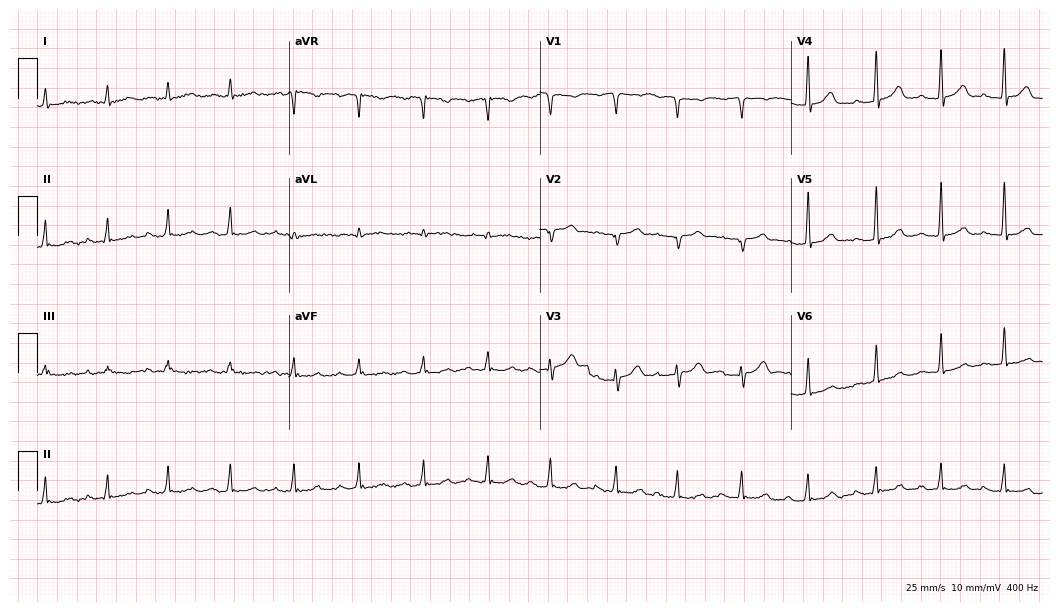
ECG (10.2-second recording at 400 Hz) — a 70-year-old man. Screened for six findings — first-degree AV block, right bundle branch block, left bundle branch block, sinus bradycardia, atrial fibrillation, sinus tachycardia — none is recorded.